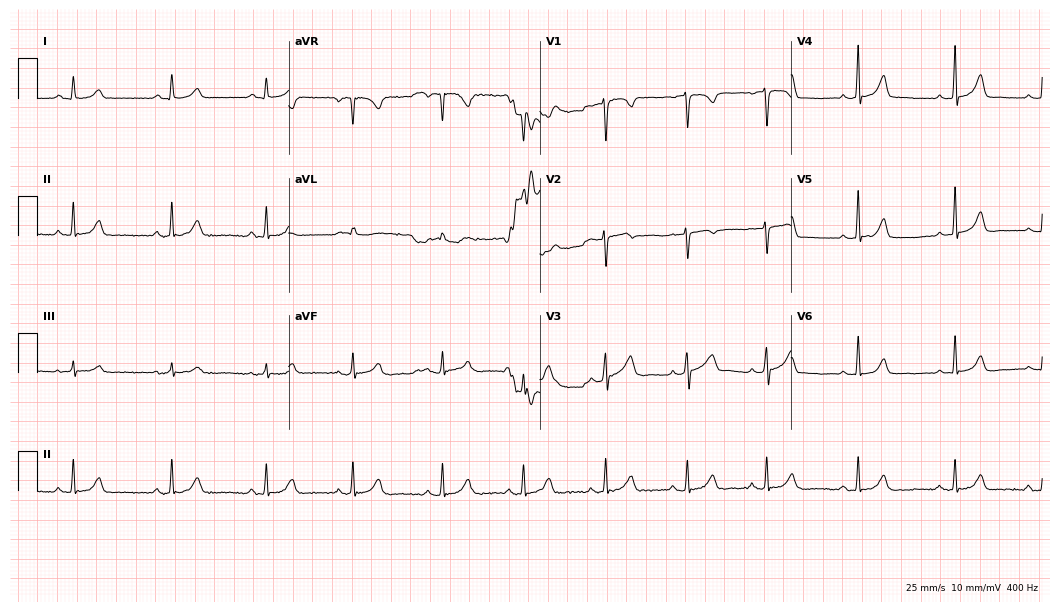
Electrocardiogram (10.2-second recording at 400 Hz), a female, 37 years old. Overall reading on record: normal ECG.